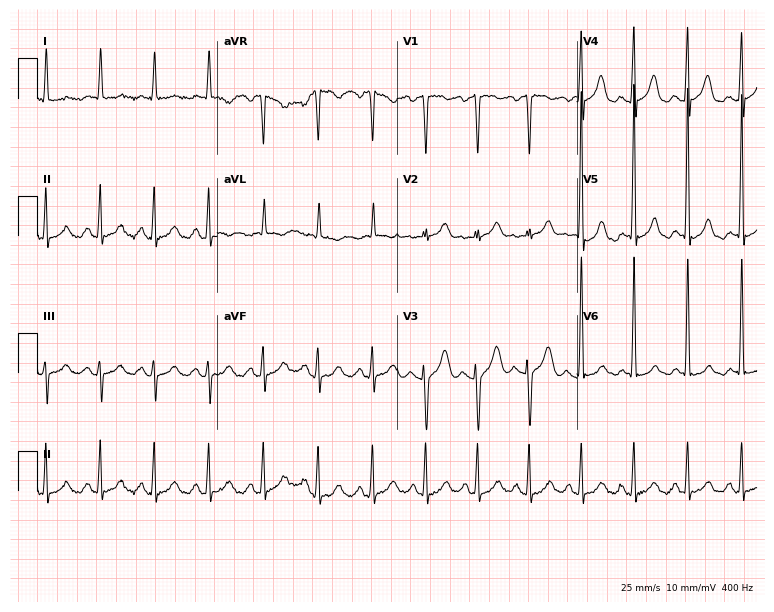
Standard 12-lead ECG recorded from a female patient, 82 years old (7.3-second recording at 400 Hz). The tracing shows sinus tachycardia (a sinus rate of 100 beats per minute or more).